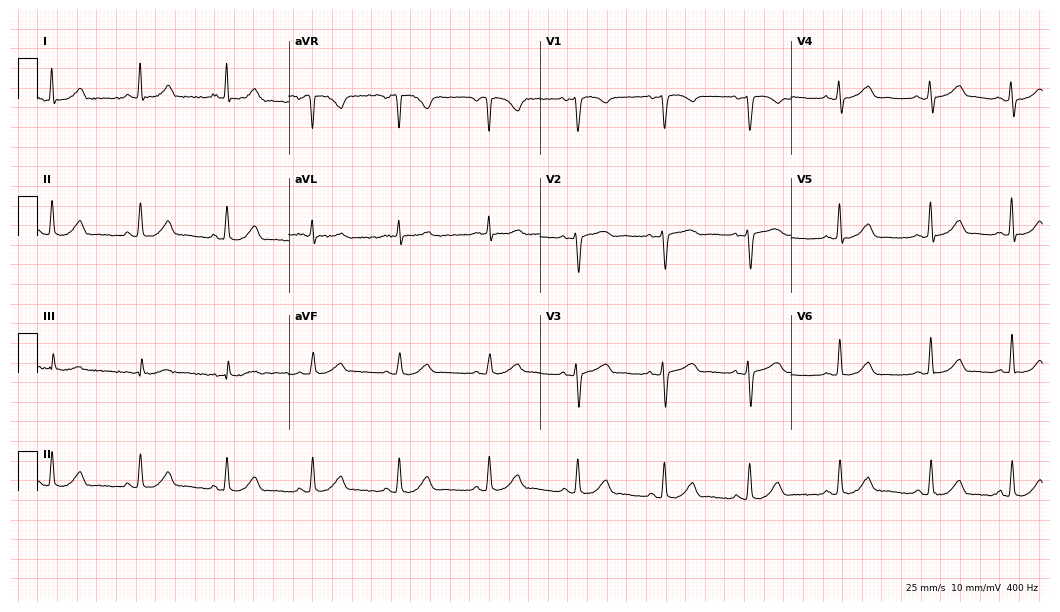
12-lead ECG from a female patient, 48 years old (10.2-second recording at 400 Hz). No first-degree AV block, right bundle branch block, left bundle branch block, sinus bradycardia, atrial fibrillation or sinus tachycardia recorded for this tracing.